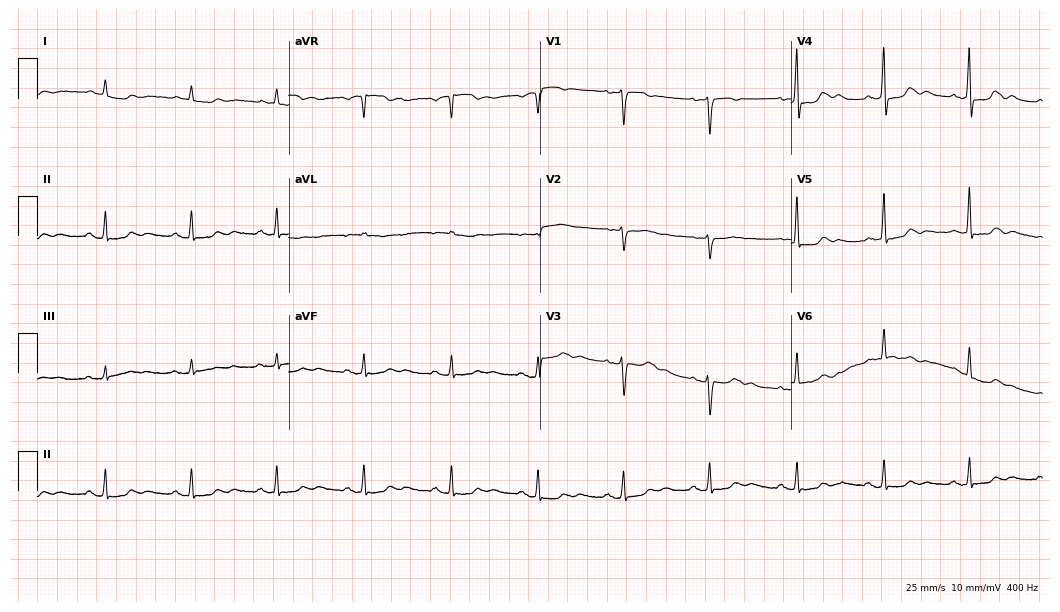
Resting 12-lead electrocardiogram (10.2-second recording at 400 Hz). Patient: a 68-year-old female. None of these six findings is recorded: first-degree AV block, right bundle branch block (RBBB), left bundle branch block (LBBB), sinus bradycardia, atrial fibrillation (AF), sinus tachycardia. Findings outside these six are not listed.